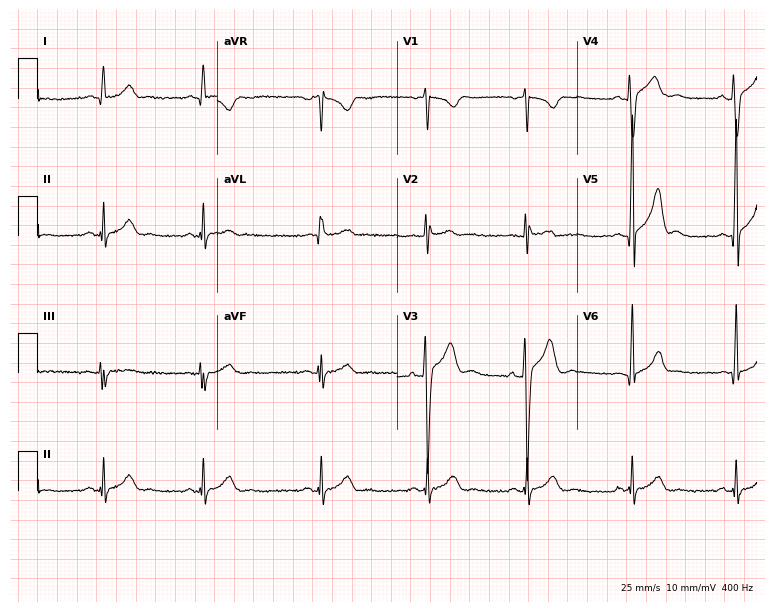
Standard 12-lead ECG recorded from a 26-year-old male (7.3-second recording at 400 Hz). None of these six findings is recorded: first-degree AV block, right bundle branch block, left bundle branch block, sinus bradycardia, atrial fibrillation, sinus tachycardia.